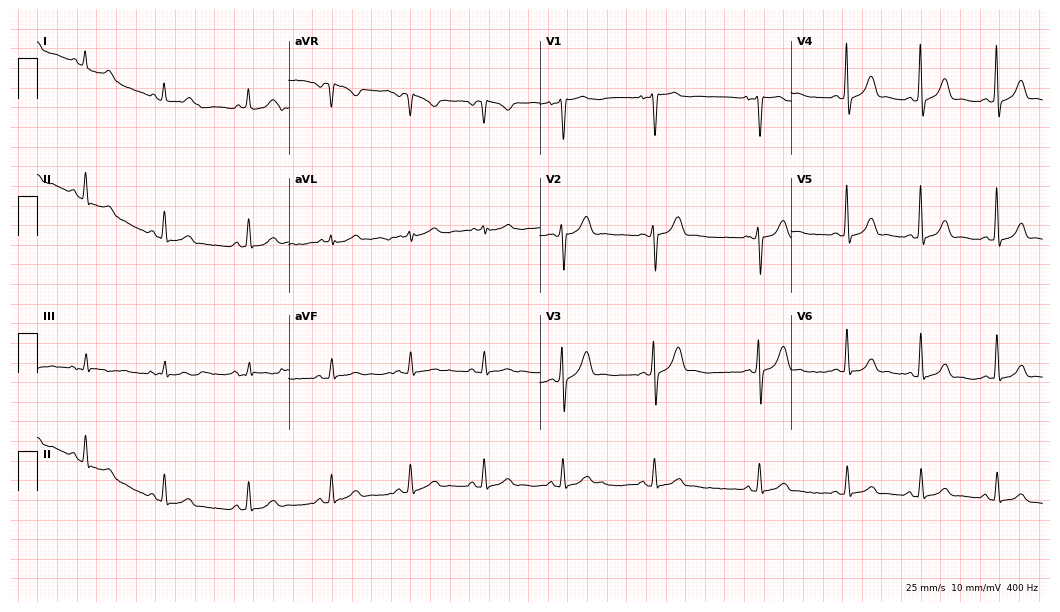
ECG (10.2-second recording at 400 Hz) — a 23-year-old woman. Screened for six findings — first-degree AV block, right bundle branch block, left bundle branch block, sinus bradycardia, atrial fibrillation, sinus tachycardia — none is recorded. Other findings, if any, are not listed.